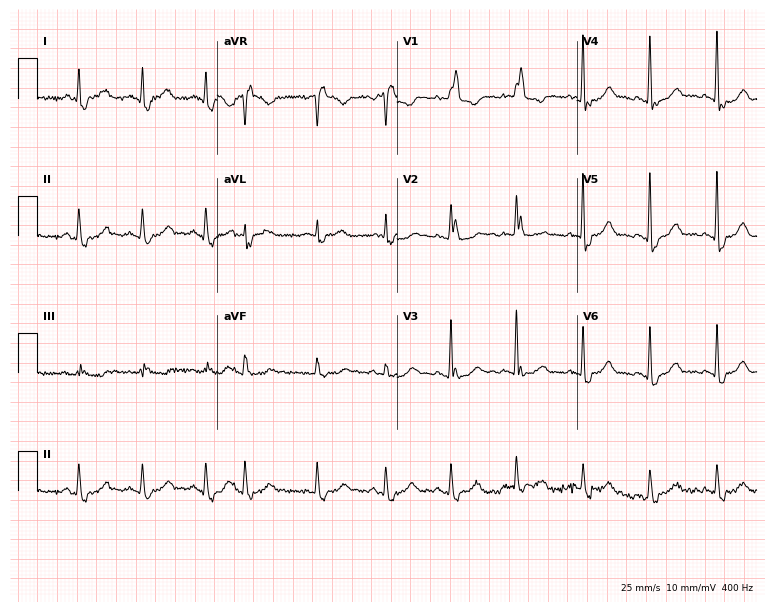
Standard 12-lead ECG recorded from a woman, 72 years old. The tracing shows right bundle branch block (RBBB).